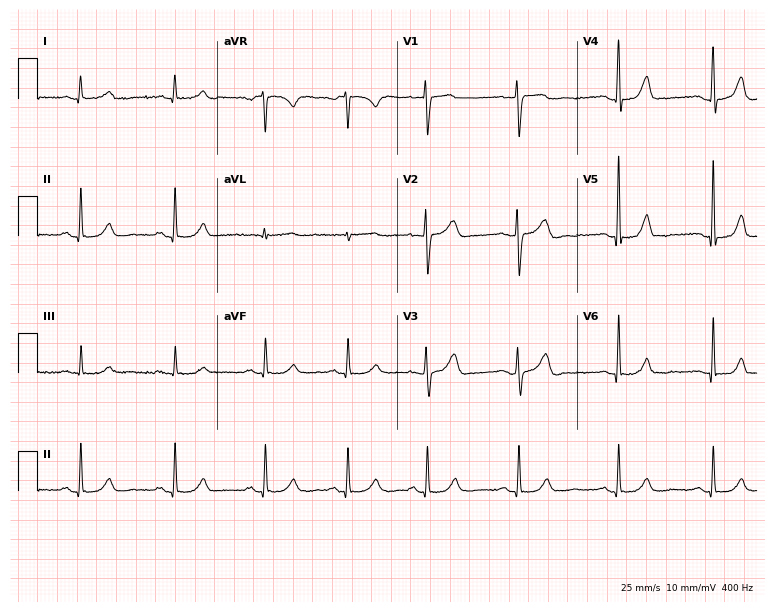
Standard 12-lead ECG recorded from a 52-year-old female patient (7.3-second recording at 400 Hz). Read as a normal ECG.